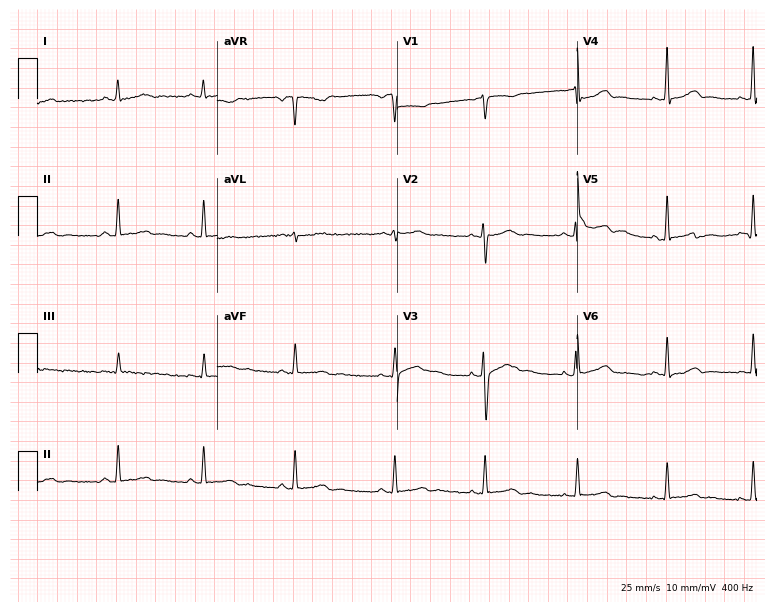
Standard 12-lead ECG recorded from a female, 34 years old. None of these six findings is recorded: first-degree AV block, right bundle branch block (RBBB), left bundle branch block (LBBB), sinus bradycardia, atrial fibrillation (AF), sinus tachycardia.